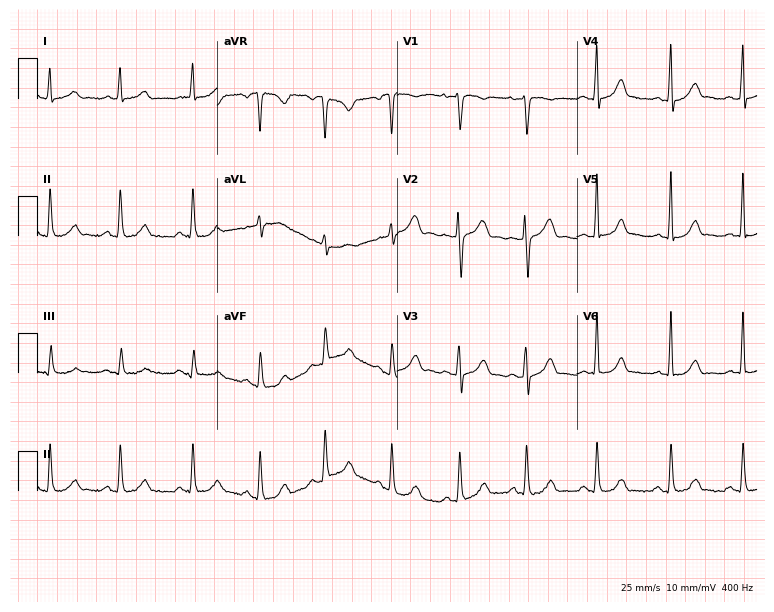
Standard 12-lead ECG recorded from a 31-year-old female. Read as a normal ECG.